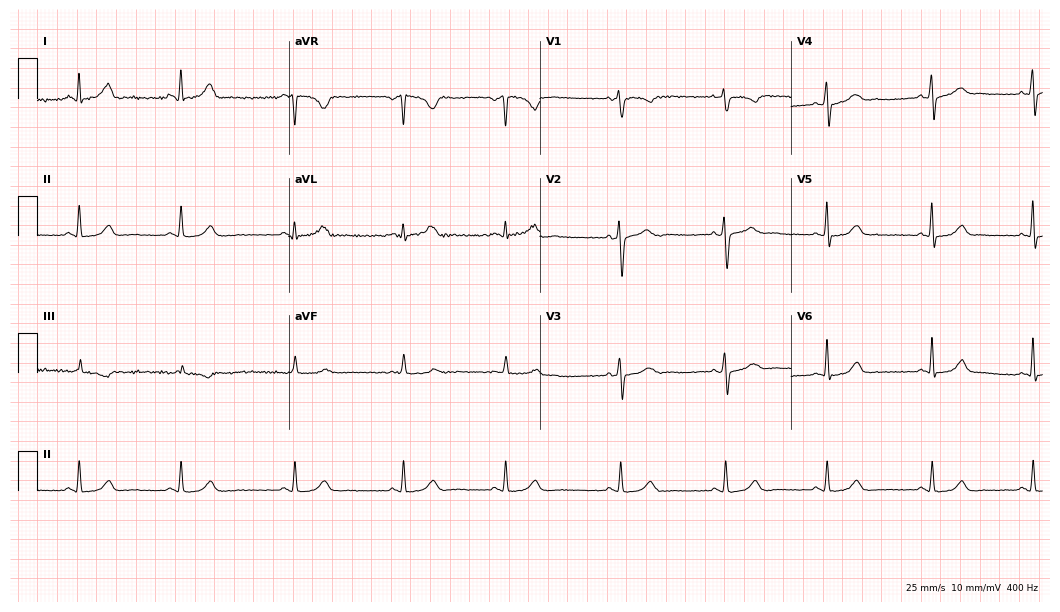
12-lead ECG (10.2-second recording at 400 Hz) from a woman, 32 years old. Labelled as a normal ECG.